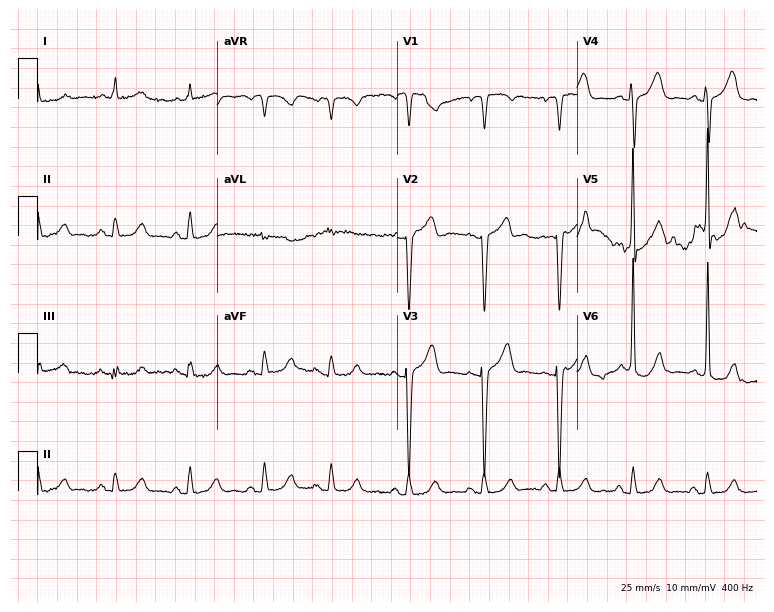
Standard 12-lead ECG recorded from an 82-year-old male (7.3-second recording at 400 Hz). None of these six findings is recorded: first-degree AV block, right bundle branch block (RBBB), left bundle branch block (LBBB), sinus bradycardia, atrial fibrillation (AF), sinus tachycardia.